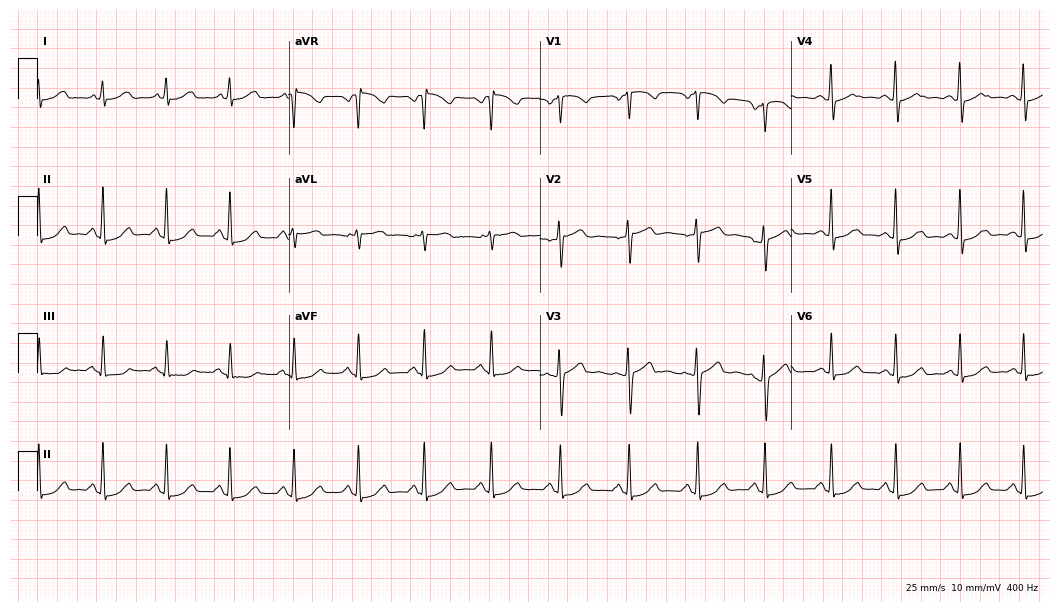
Resting 12-lead electrocardiogram. Patient: a female, 51 years old. Read as a normal ECG.